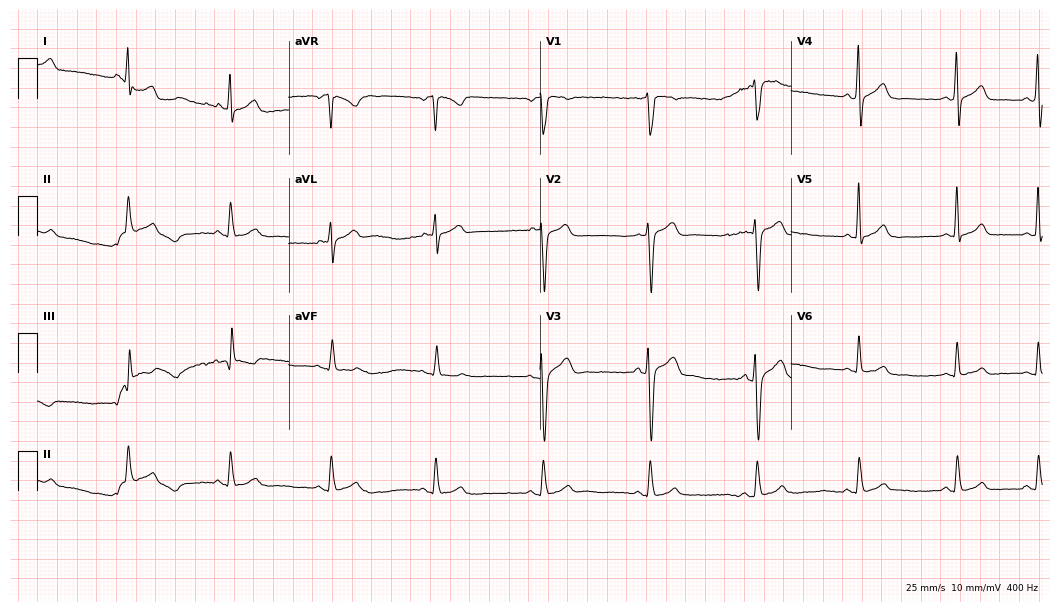
12-lead ECG from a male patient, 43 years old (10.2-second recording at 400 Hz). No first-degree AV block, right bundle branch block, left bundle branch block, sinus bradycardia, atrial fibrillation or sinus tachycardia recorded for this tracing. Other findings, if any, are not listed.